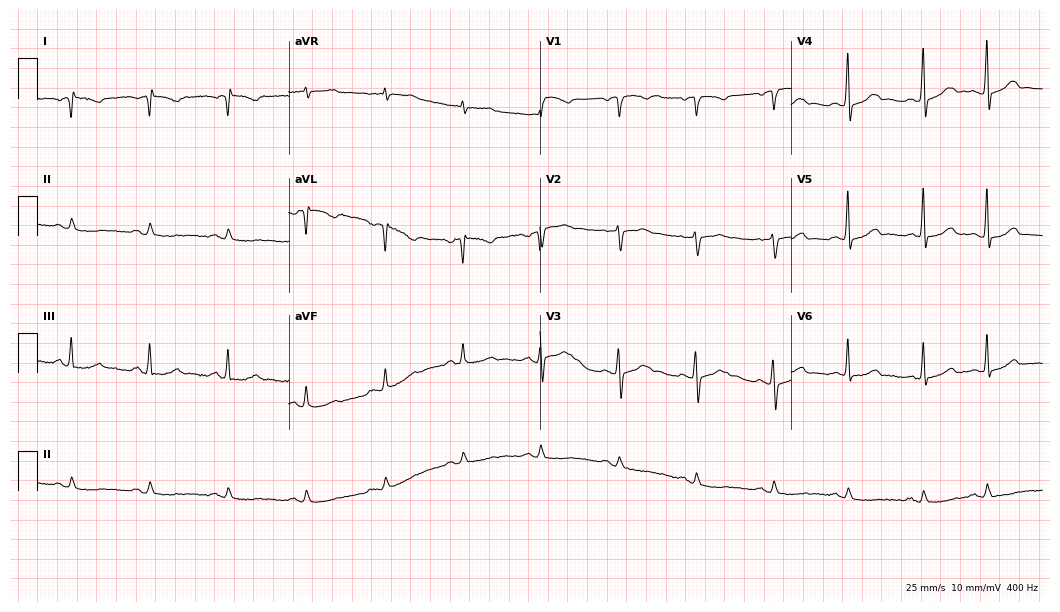
ECG (10.2-second recording at 400 Hz) — a man, 63 years old. Screened for six findings — first-degree AV block, right bundle branch block, left bundle branch block, sinus bradycardia, atrial fibrillation, sinus tachycardia — none is recorded. Other findings, if any, are not listed.